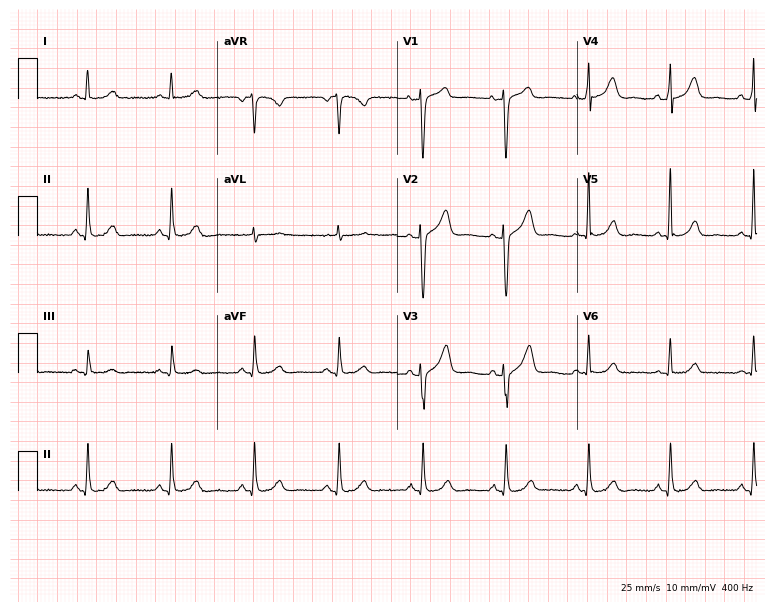
Electrocardiogram (7.3-second recording at 400 Hz), a 62-year-old female. Overall reading on record: normal ECG.